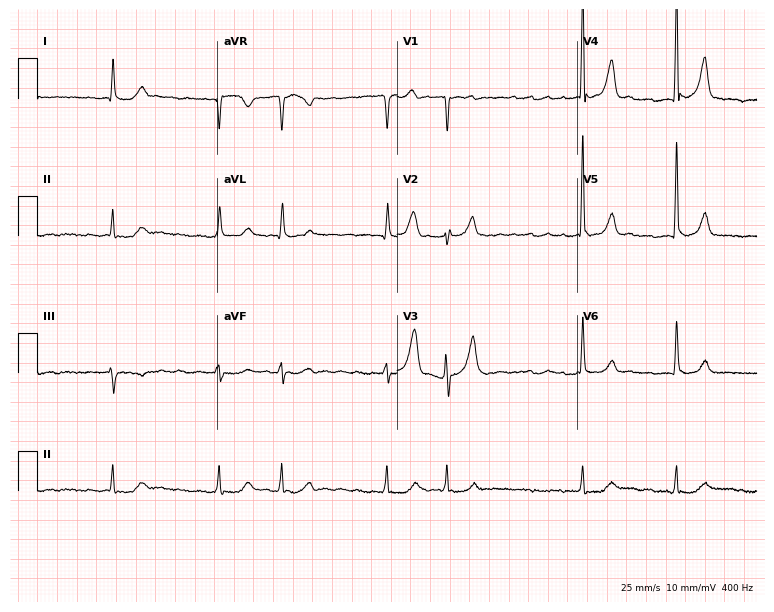
Standard 12-lead ECG recorded from a 67-year-old man (7.3-second recording at 400 Hz). The tracing shows atrial fibrillation (AF).